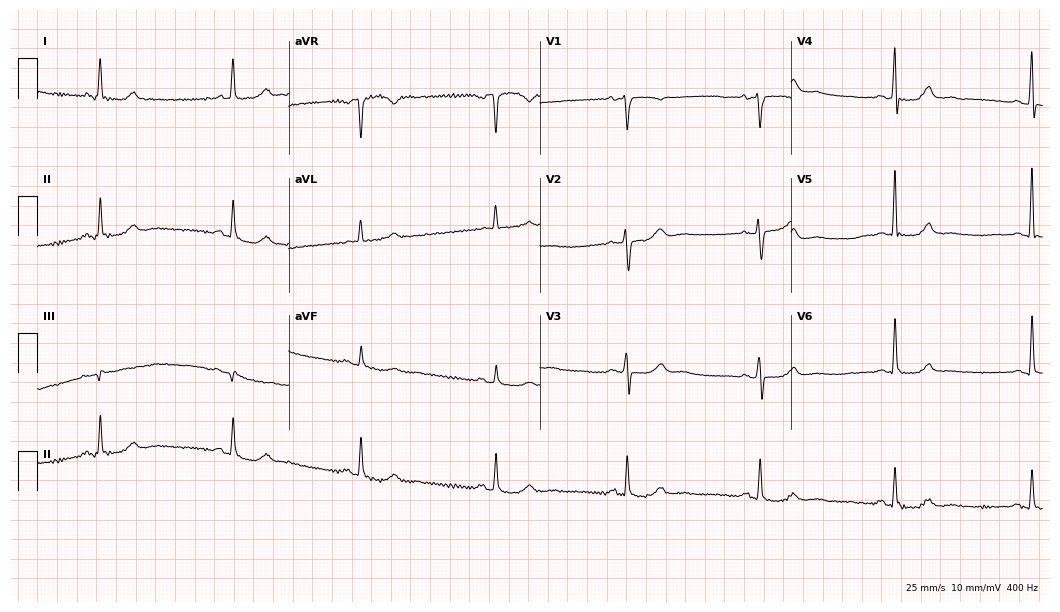
12-lead ECG from a 61-year-old female (10.2-second recording at 400 Hz). Shows sinus bradycardia (a sinus rate of 50 beats per minute or less).